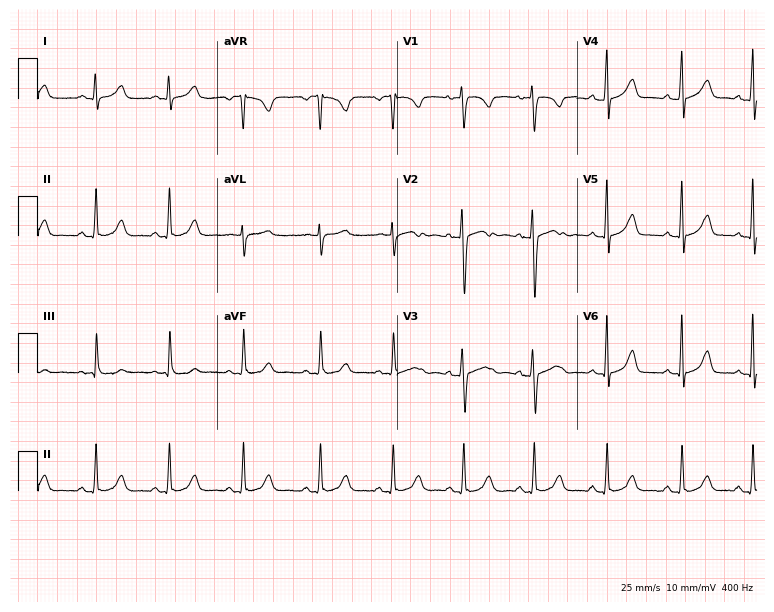
ECG (7.3-second recording at 400 Hz) — a woman, 32 years old. Labelled as a normal ECG.